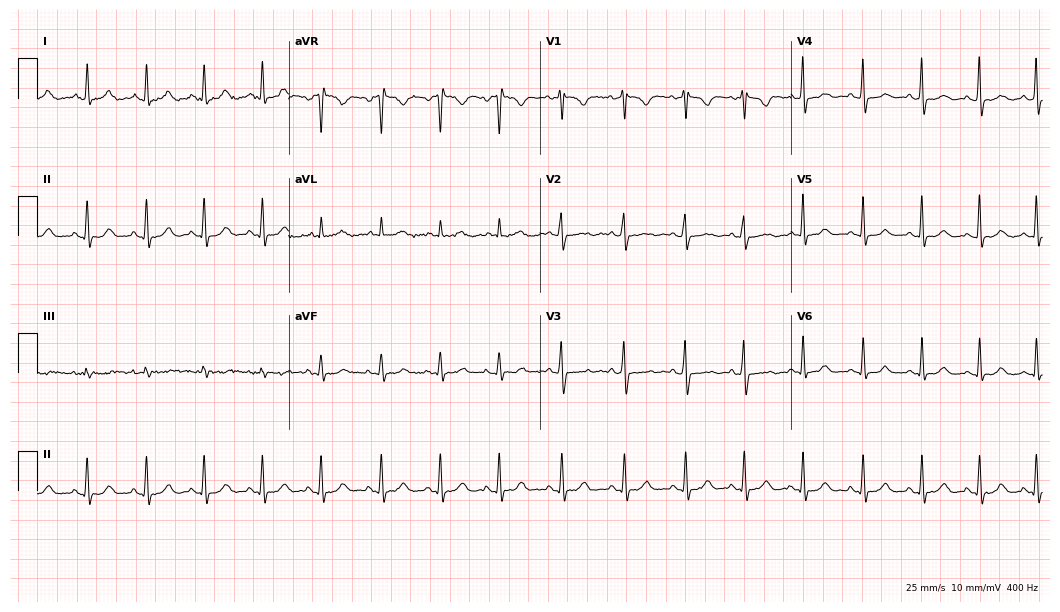
ECG — a 28-year-old woman. Labelled as a normal ECG.